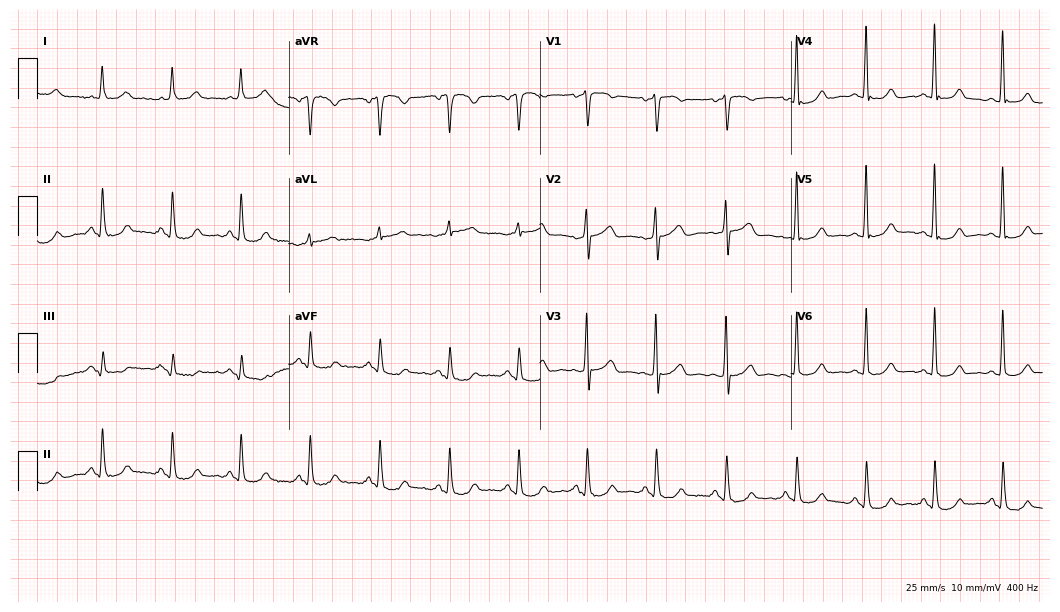
Electrocardiogram (10.2-second recording at 400 Hz), a 60-year-old female patient. Of the six screened findings (first-degree AV block, right bundle branch block (RBBB), left bundle branch block (LBBB), sinus bradycardia, atrial fibrillation (AF), sinus tachycardia), none is recorded.